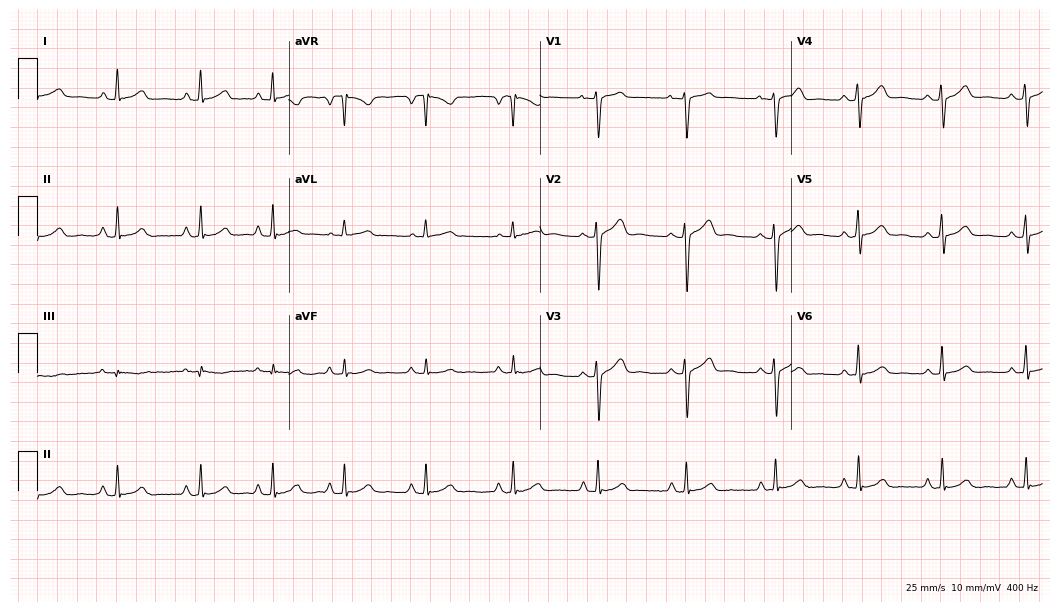
12-lead ECG from a 22-year-old female (10.2-second recording at 400 Hz). Recorded interpretation: within normal limits.